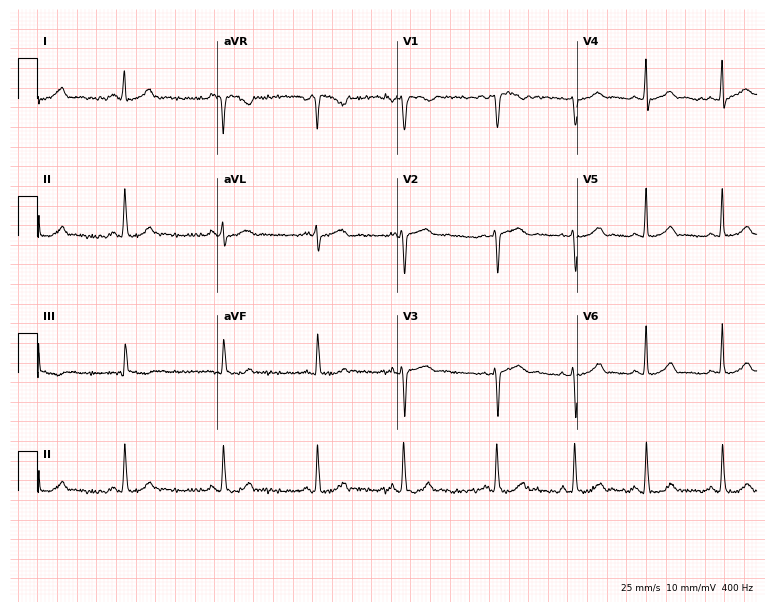
ECG (7.3-second recording at 400 Hz) — a 28-year-old female. Labelled as a normal ECG.